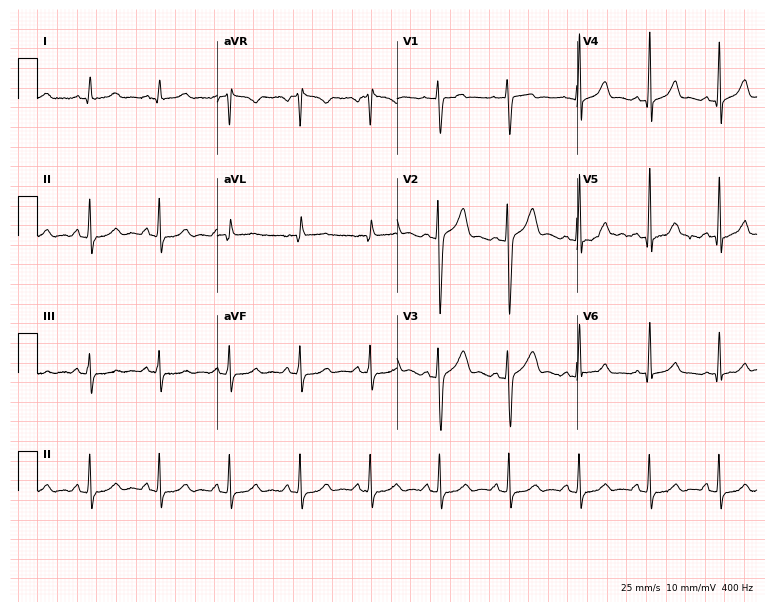
Resting 12-lead electrocardiogram (7.3-second recording at 400 Hz). Patient: a man, 32 years old. None of these six findings is recorded: first-degree AV block, right bundle branch block, left bundle branch block, sinus bradycardia, atrial fibrillation, sinus tachycardia. Only these six findings were labelled.